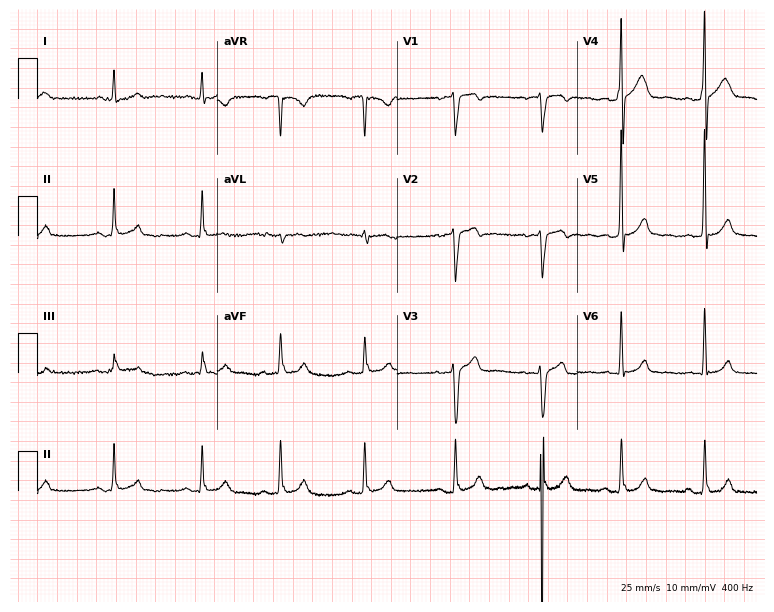
12-lead ECG from a woman, 27 years old (7.3-second recording at 400 Hz). No first-degree AV block, right bundle branch block, left bundle branch block, sinus bradycardia, atrial fibrillation or sinus tachycardia recorded for this tracing.